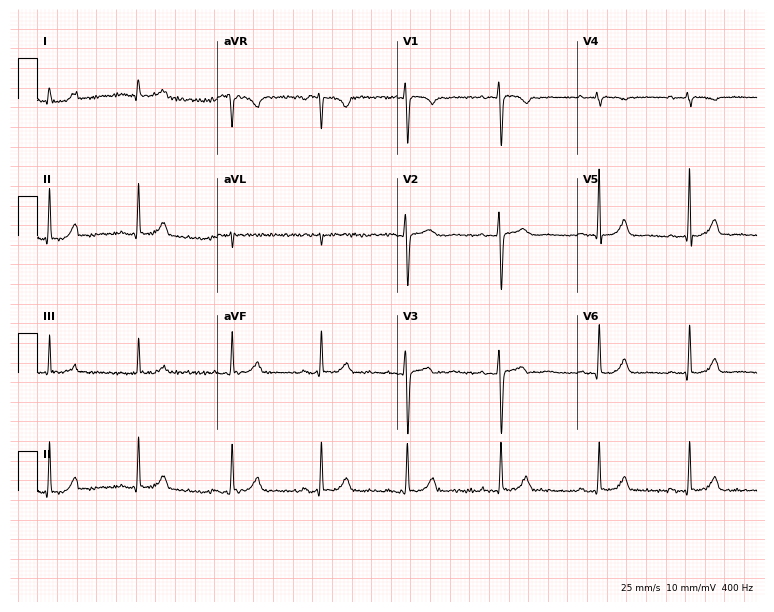
ECG — a woman, 38 years old. Screened for six findings — first-degree AV block, right bundle branch block (RBBB), left bundle branch block (LBBB), sinus bradycardia, atrial fibrillation (AF), sinus tachycardia — none is recorded. Findings outside these six are not listed.